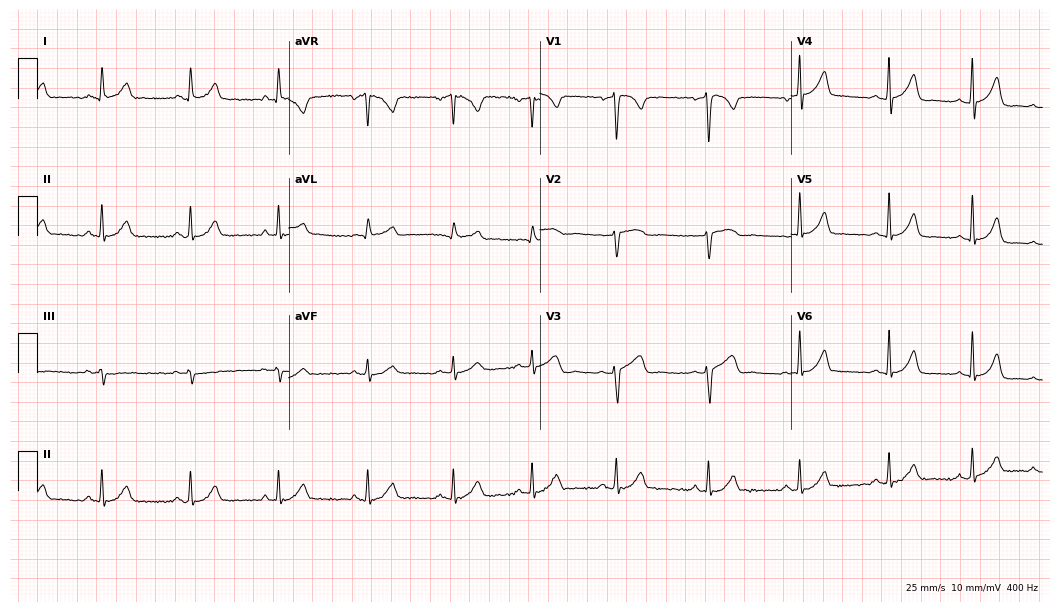
Electrocardiogram (10.2-second recording at 400 Hz), a female, 40 years old. Overall reading on record: normal ECG.